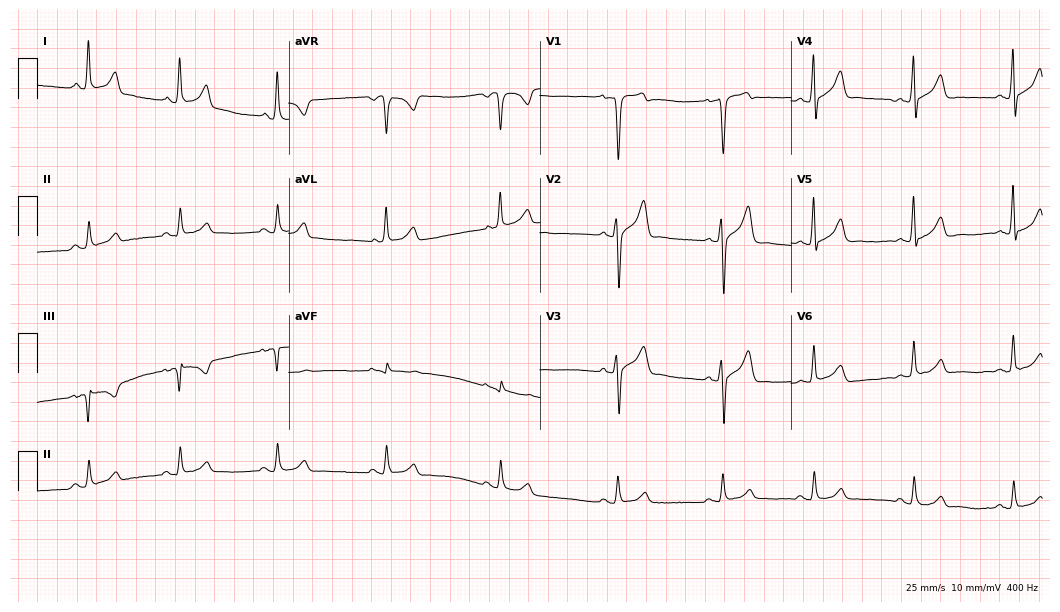
ECG (10.2-second recording at 400 Hz) — a male patient, 35 years old. Labelled as a normal ECG.